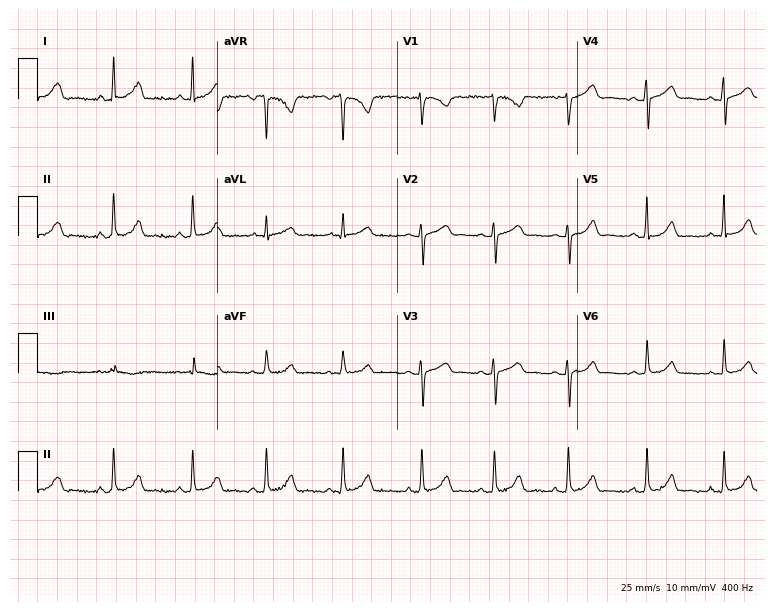
12-lead ECG (7.3-second recording at 400 Hz) from a female, 28 years old. Screened for six findings — first-degree AV block, right bundle branch block, left bundle branch block, sinus bradycardia, atrial fibrillation, sinus tachycardia — none is recorded. Other findings, if any, are not listed.